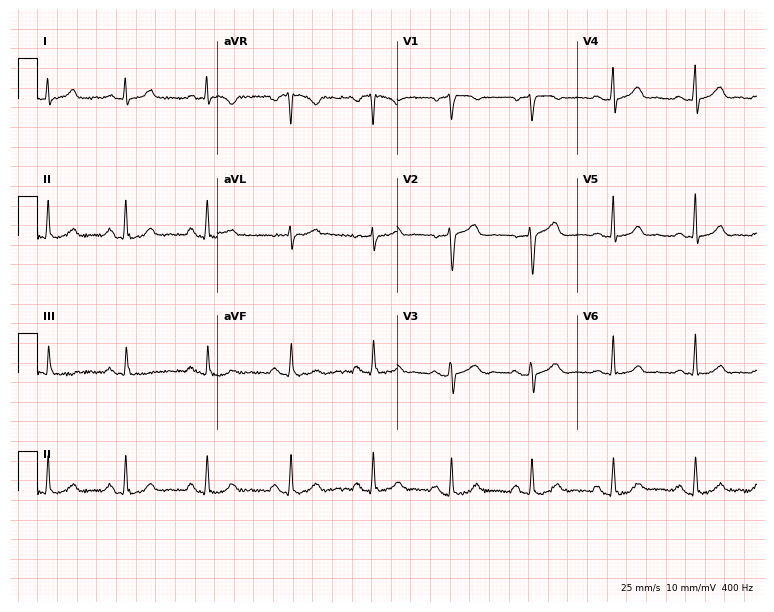
12-lead ECG (7.3-second recording at 400 Hz) from a female, 35 years old. Screened for six findings — first-degree AV block, right bundle branch block, left bundle branch block, sinus bradycardia, atrial fibrillation, sinus tachycardia — none is recorded. Findings outside these six are not listed.